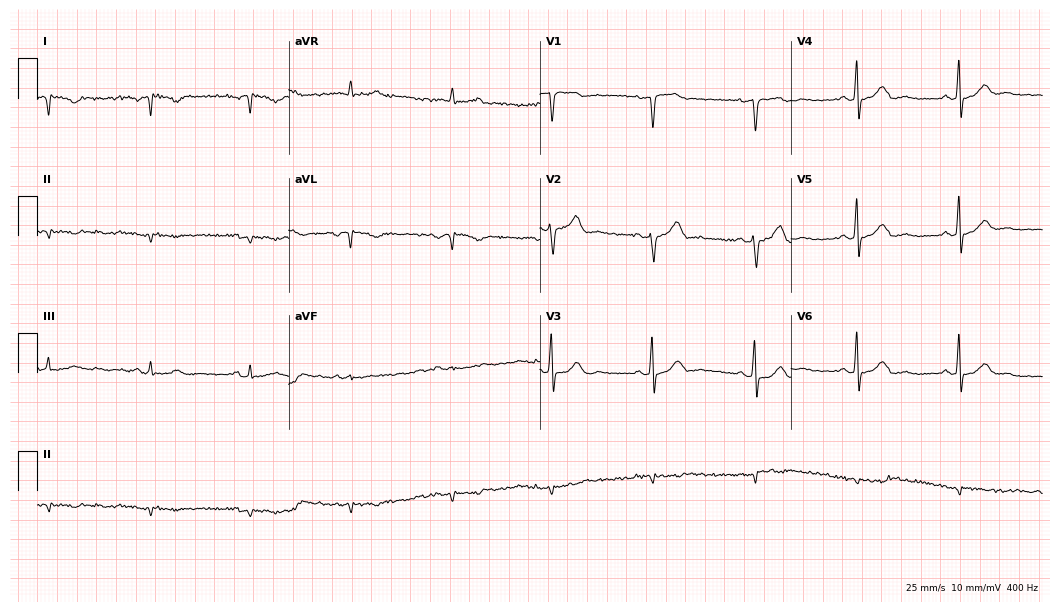
12-lead ECG from a 57-year-old female. Screened for six findings — first-degree AV block, right bundle branch block, left bundle branch block, sinus bradycardia, atrial fibrillation, sinus tachycardia — none is recorded. Findings outside these six are not listed.